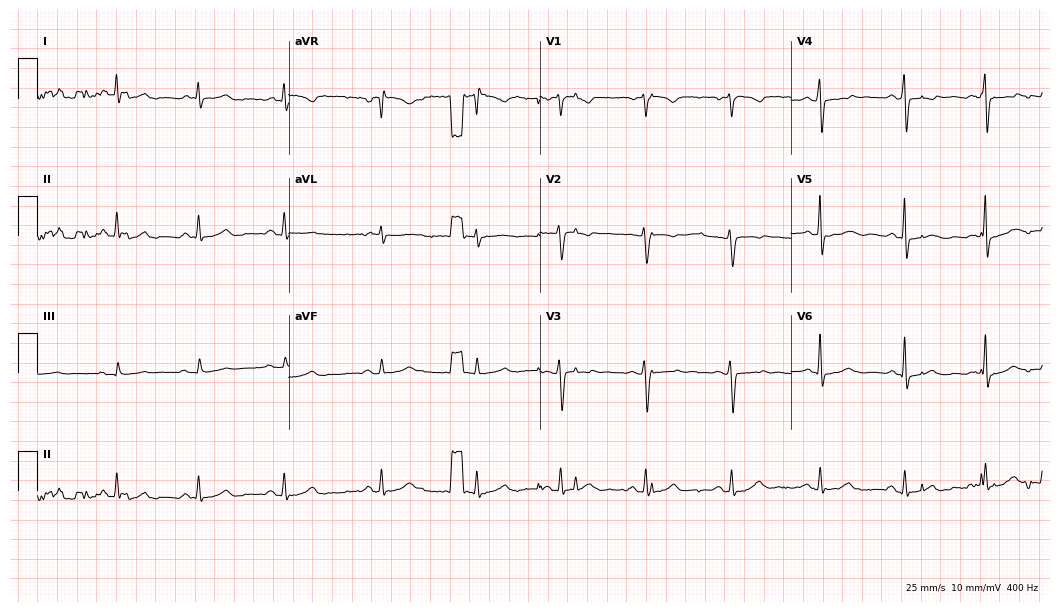
Standard 12-lead ECG recorded from a 37-year-old female (10.2-second recording at 400 Hz). Read as a normal ECG.